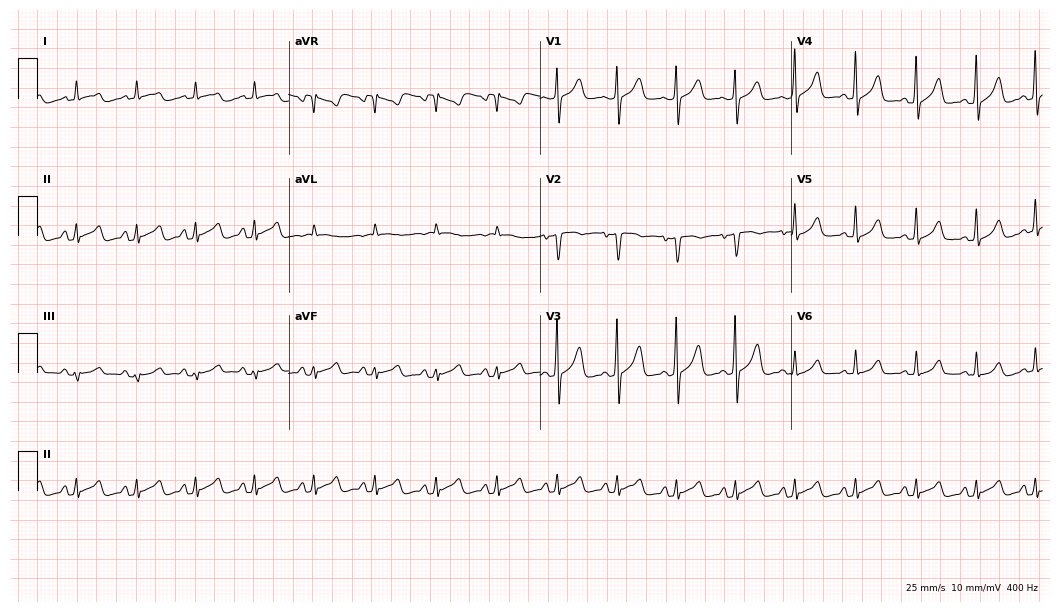
Standard 12-lead ECG recorded from a 49-year-old male patient. Read as a normal ECG.